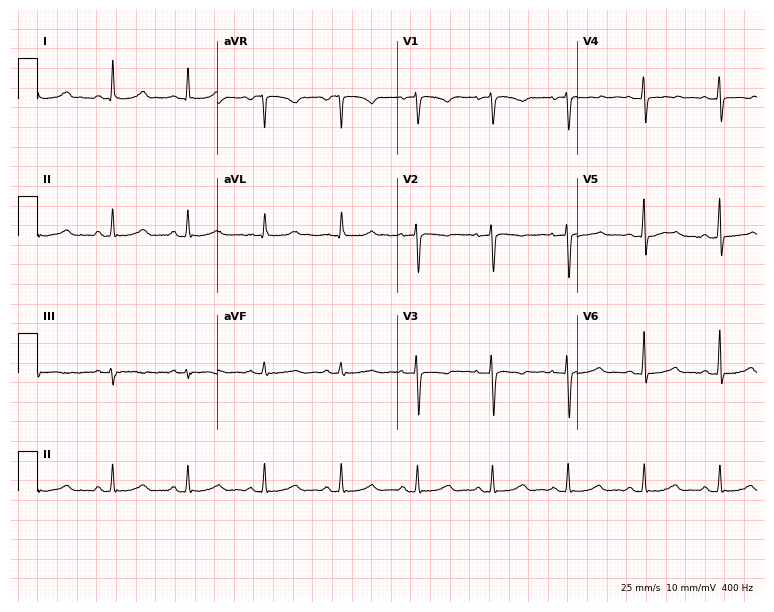
Resting 12-lead electrocardiogram. Patient: a 65-year-old woman. None of these six findings is recorded: first-degree AV block, right bundle branch block, left bundle branch block, sinus bradycardia, atrial fibrillation, sinus tachycardia.